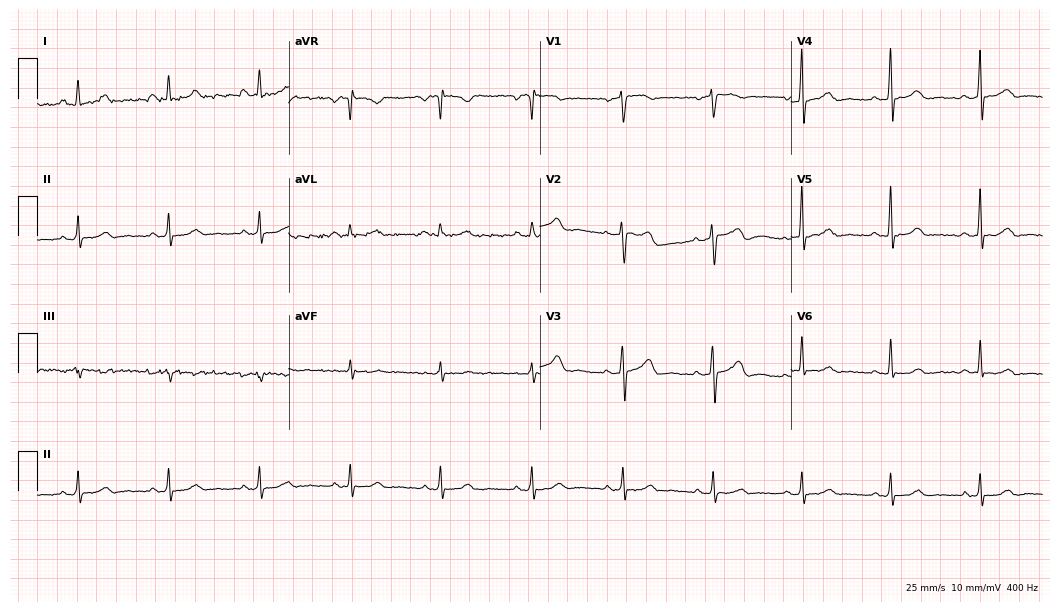
Standard 12-lead ECG recorded from a female, 55 years old (10.2-second recording at 400 Hz). Read as a normal ECG.